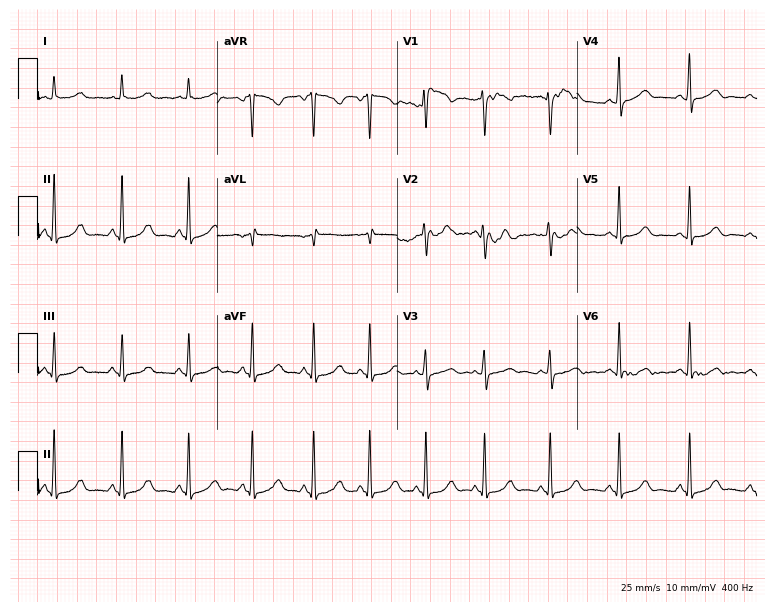
12-lead ECG from a 39-year-old woman (7.3-second recording at 400 Hz). No first-degree AV block, right bundle branch block, left bundle branch block, sinus bradycardia, atrial fibrillation or sinus tachycardia recorded for this tracing.